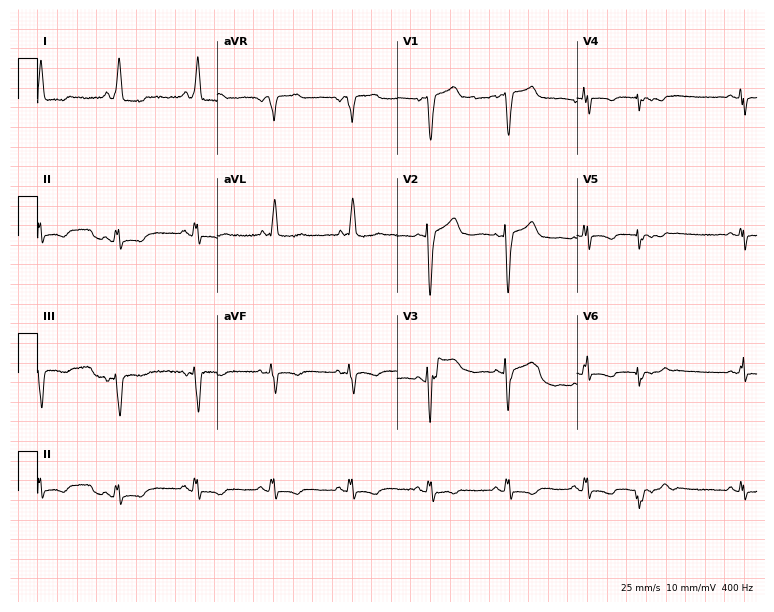
Resting 12-lead electrocardiogram. Patient: a female, 74 years old. None of these six findings is recorded: first-degree AV block, right bundle branch block (RBBB), left bundle branch block (LBBB), sinus bradycardia, atrial fibrillation (AF), sinus tachycardia. Other findings, if any, are not listed.